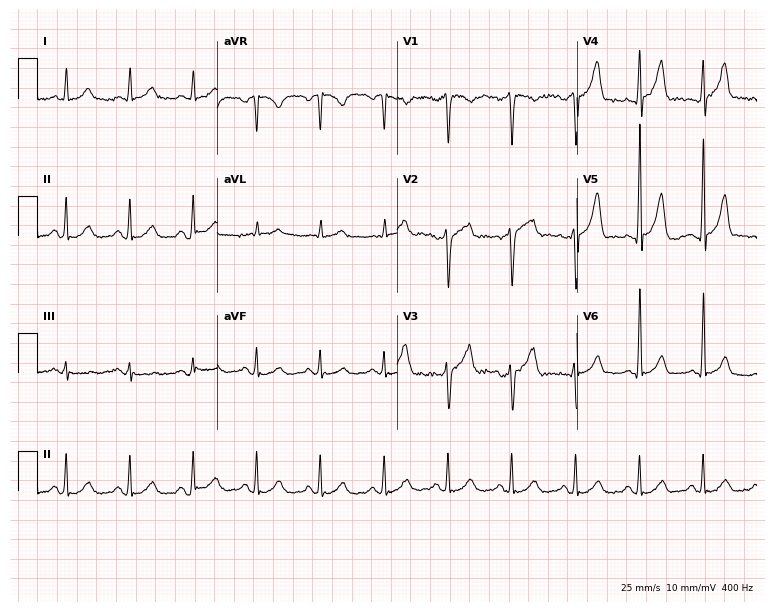
Electrocardiogram (7.3-second recording at 400 Hz), a 55-year-old man. Of the six screened findings (first-degree AV block, right bundle branch block (RBBB), left bundle branch block (LBBB), sinus bradycardia, atrial fibrillation (AF), sinus tachycardia), none is recorded.